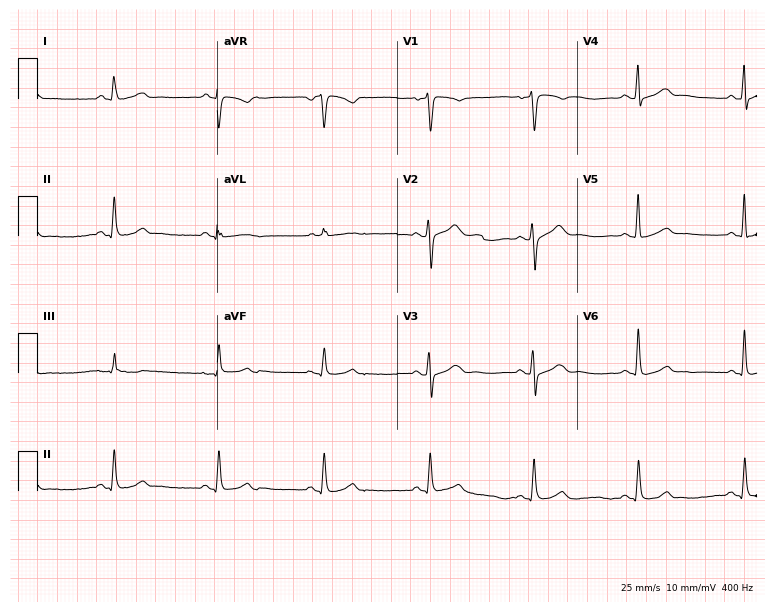
Electrocardiogram (7.3-second recording at 400 Hz), a male patient, 53 years old. Of the six screened findings (first-degree AV block, right bundle branch block, left bundle branch block, sinus bradycardia, atrial fibrillation, sinus tachycardia), none is recorded. Only these six findings were labelled.